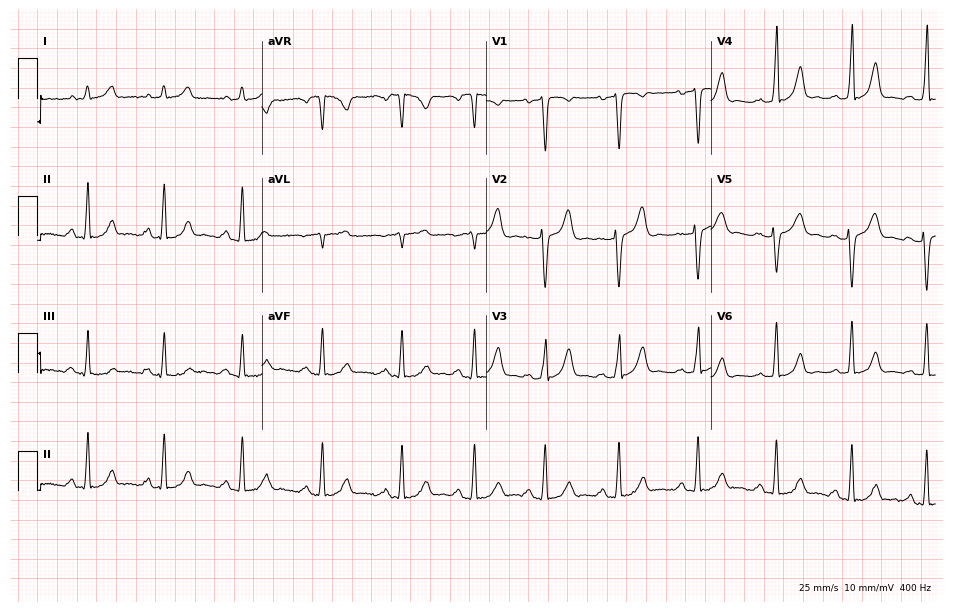
Standard 12-lead ECG recorded from a woman, 24 years old (9.2-second recording at 400 Hz). None of these six findings is recorded: first-degree AV block, right bundle branch block, left bundle branch block, sinus bradycardia, atrial fibrillation, sinus tachycardia. Other findings, if any, are not listed.